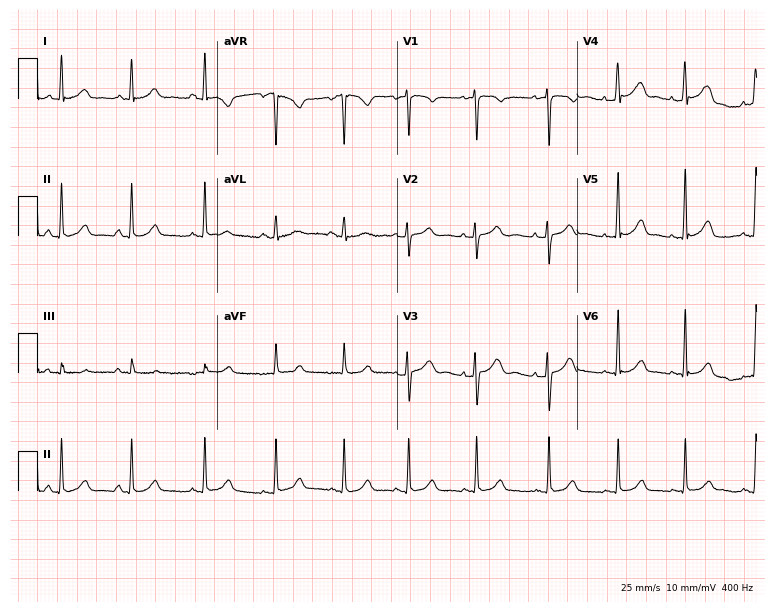
ECG — a female patient, 20 years old. Screened for six findings — first-degree AV block, right bundle branch block, left bundle branch block, sinus bradycardia, atrial fibrillation, sinus tachycardia — none is recorded. Only these six findings were labelled.